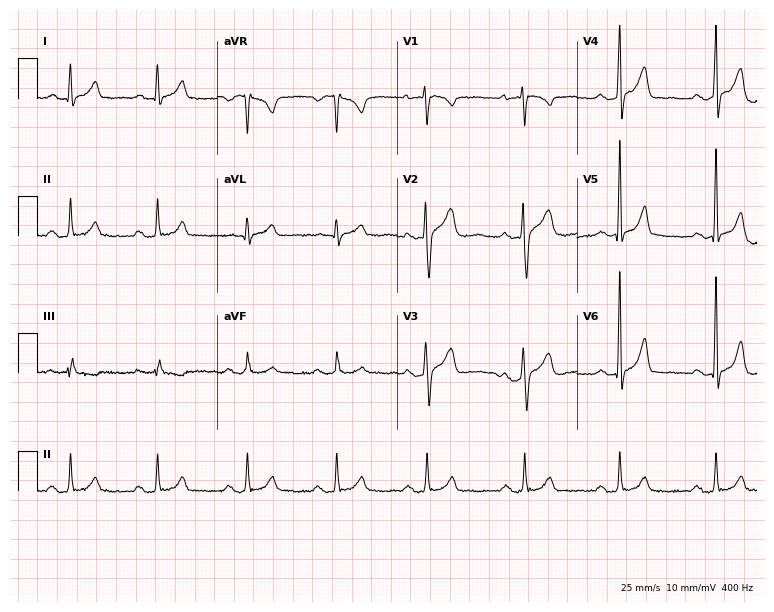
12-lead ECG (7.3-second recording at 400 Hz) from a 53-year-old male patient. Findings include first-degree AV block.